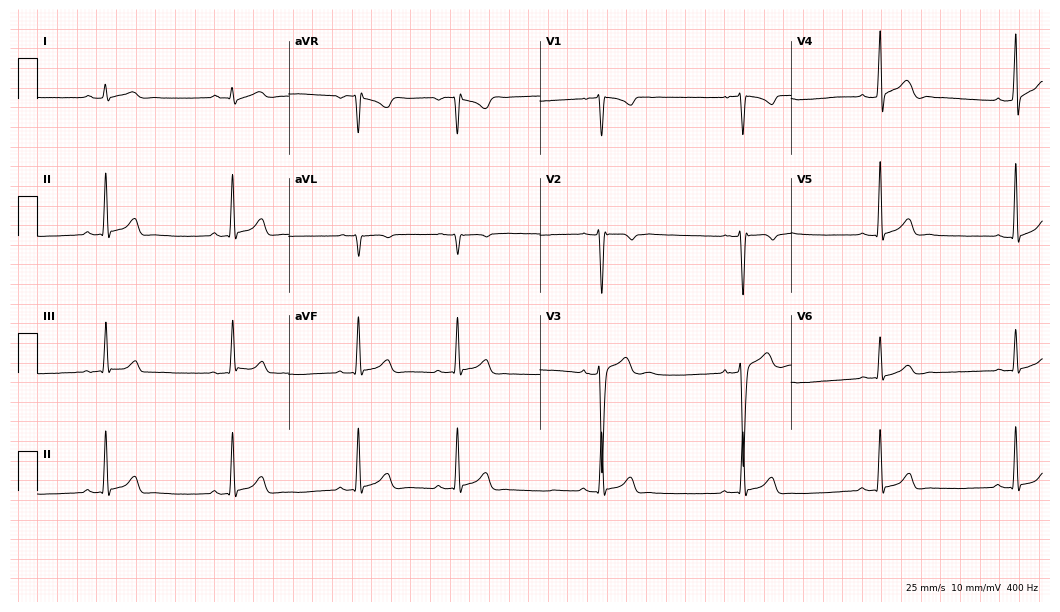
Standard 12-lead ECG recorded from a 20-year-old male patient (10.2-second recording at 400 Hz). Read as a normal ECG.